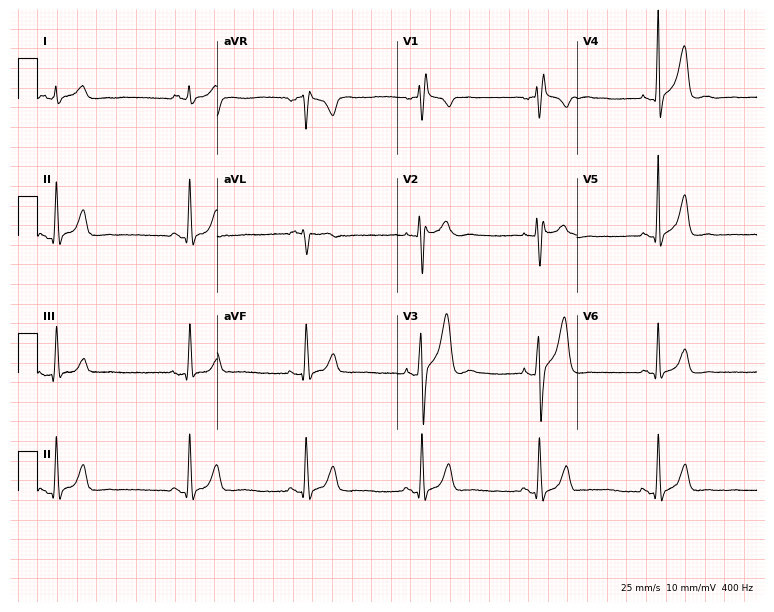
Electrocardiogram, a male, 34 years old. Interpretation includes sinus bradycardia (a sinus rate of 50 beats per minute or less).